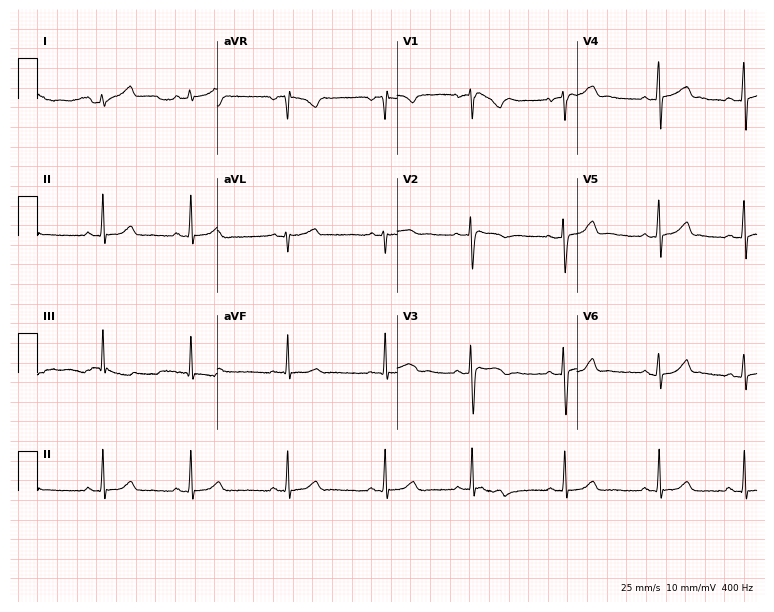
12-lead ECG from a female patient, 22 years old (7.3-second recording at 400 Hz). No first-degree AV block, right bundle branch block (RBBB), left bundle branch block (LBBB), sinus bradycardia, atrial fibrillation (AF) or sinus tachycardia recorded for this tracing. Only these six findings were labelled.